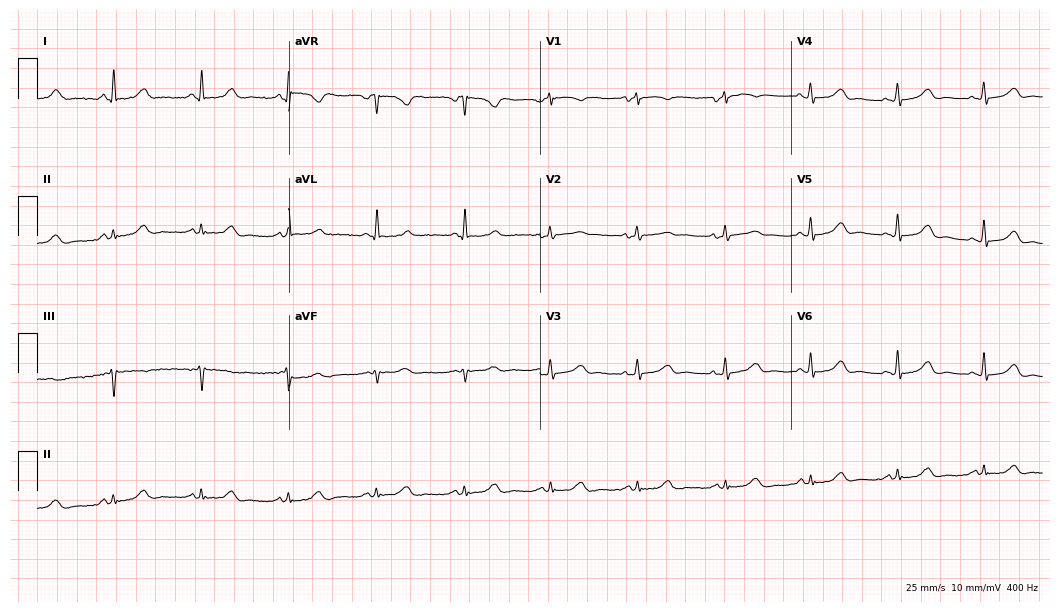
ECG (10.2-second recording at 400 Hz) — a female patient, 66 years old. Screened for six findings — first-degree AV block, right bundle branch block (RBBB), left bundle branch block (LBBB), sinus bradycardia, atrial fibrillation (AF), sinus tachycardia — none is recorded.